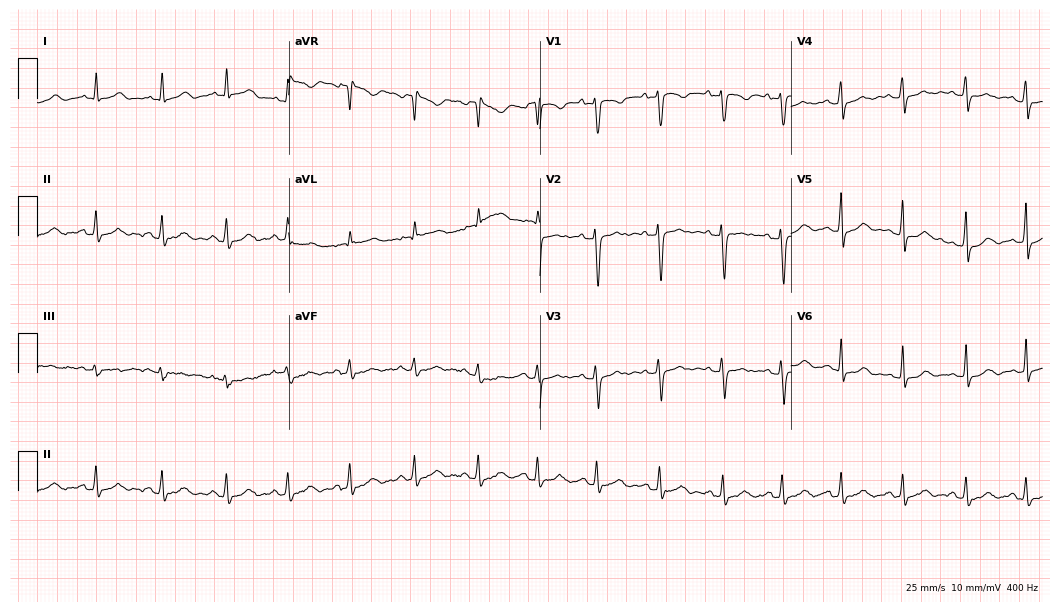
12-lead ECG from a woman, 23 years old. Labelled as a normal ECG.